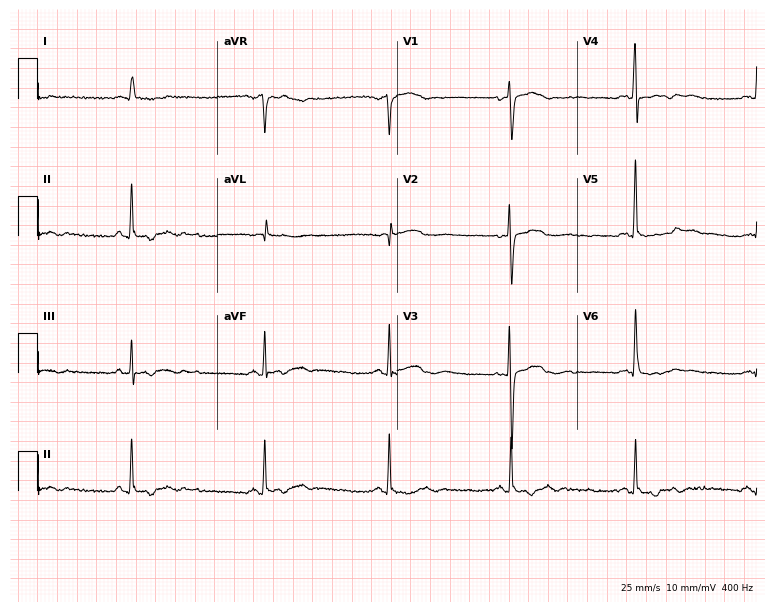
ECG (7.3-second recording at 400 Hz) — a 77-year-old woman. Screened for six findings — first-degree AV block, right bundle branch block, left bundle branch block, sinus bradycardia, atrial fibrillation, sinus tachycardia — none is recorded.